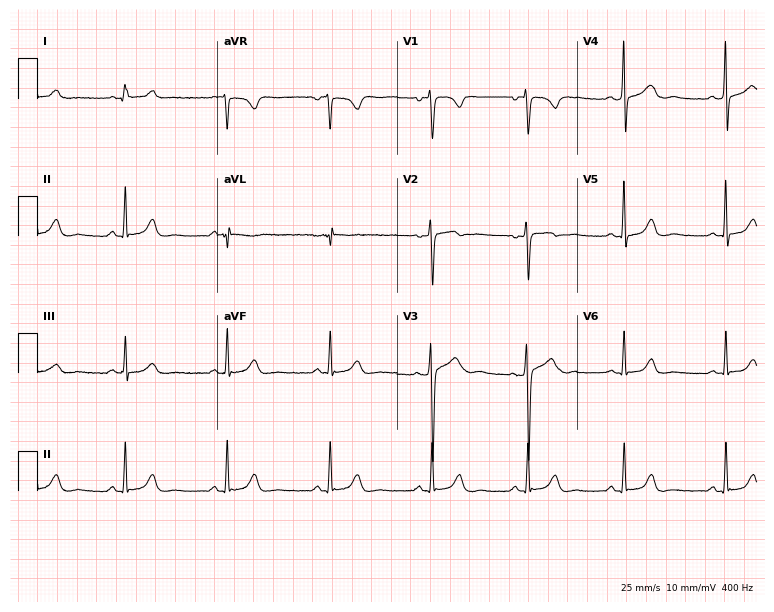
12-lead ECG from a woman, 41 years old (7.3-second recording at 400 Hz). Recorded interpretation: within normal limits.